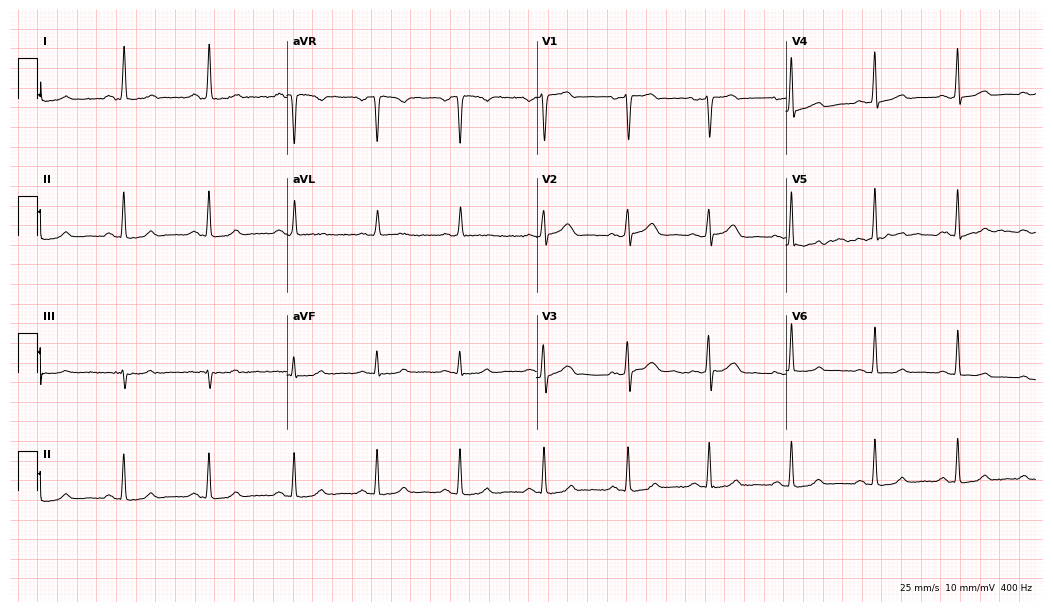
Standard 12-lead ECG recorded from a female patient, 53 years old. Read as a normal ECG.